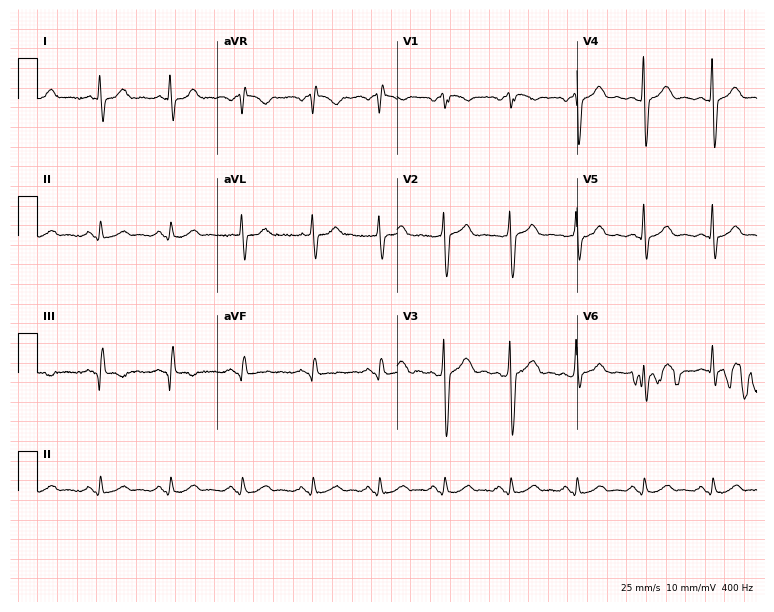
12-lead ECG from a male, 44 years old. Screened for six findings — first-degree AV block, right bundle branch block, left bundle branch block, sinus bradycardia, atrial fibrillation, sinus tachycardia — none is recorded.